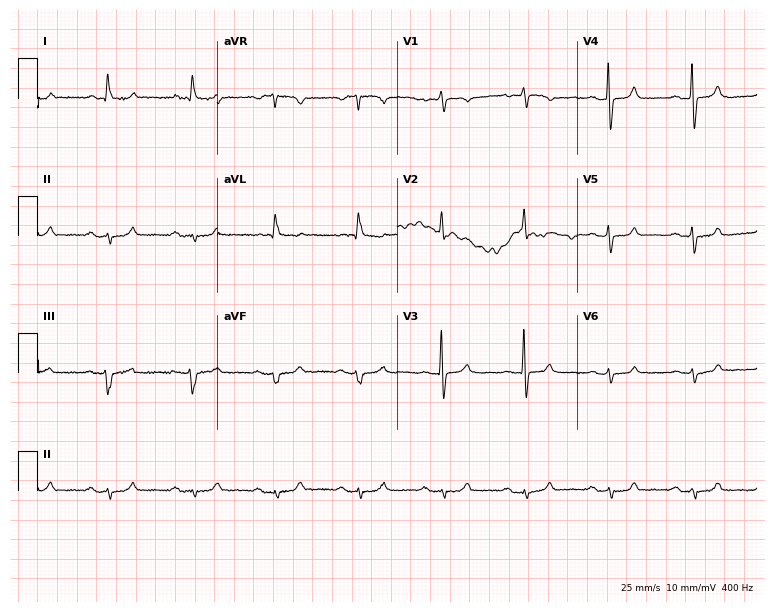
Standard 12-lead ECG recorded from a woman, 85 years old (7.3-second recording at 400 Hz). None of these six findings is recorded: first-degree AV block, right bundle branch block, left bundle branch block, sinus bradycardia, atrial fibrillation, sinus tachycardia.